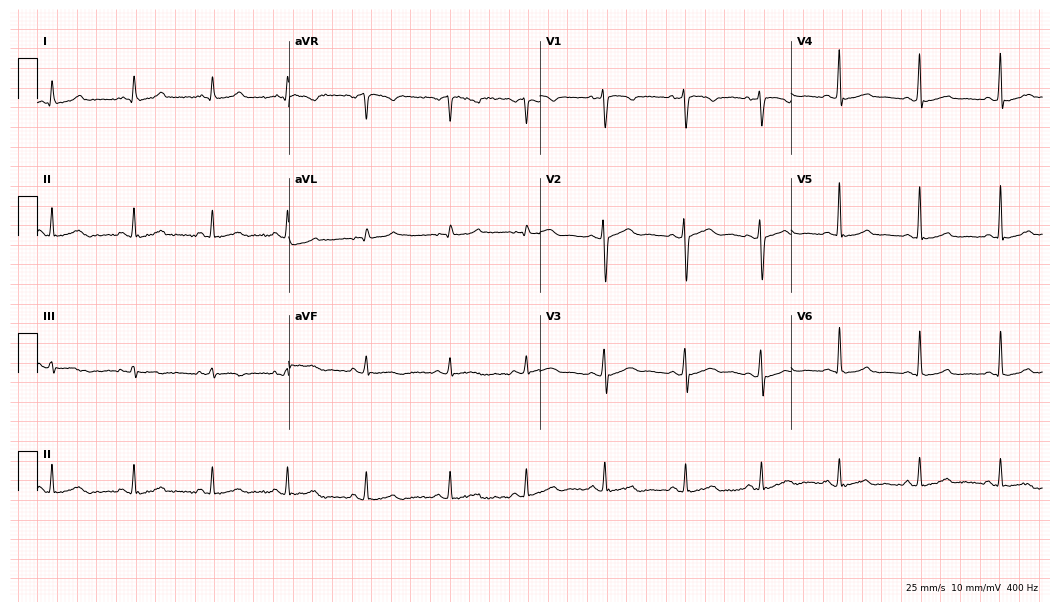
12-lead ECG from a 31-year-old woman. Recorded interpretation: within normal limits.